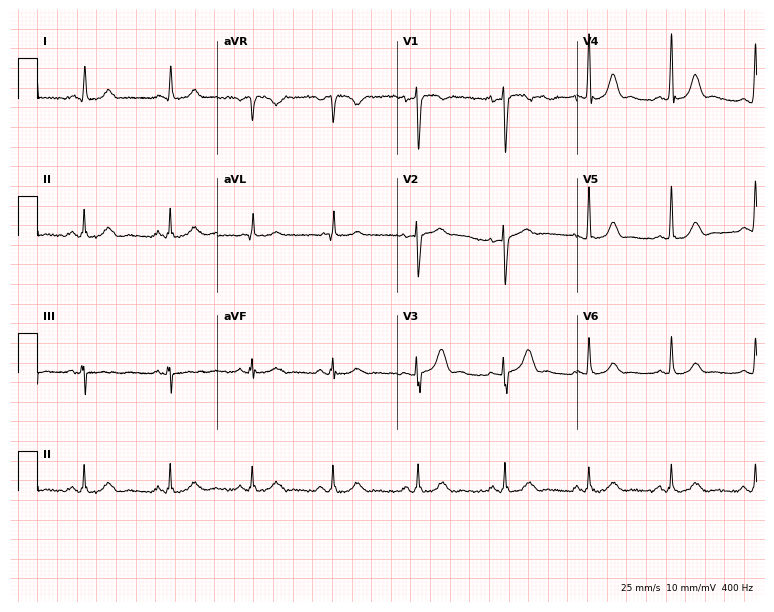
ECG (7.3-second recording at 400 Hz) — a 42-year-old female. Screened for six findings — first-degree AV block, right bundle branch block (RBBB), left bundle branch block (LBBB), sinus bradycardia, atrial fibrillation (AF), sinus tachycardia — none is recorded.